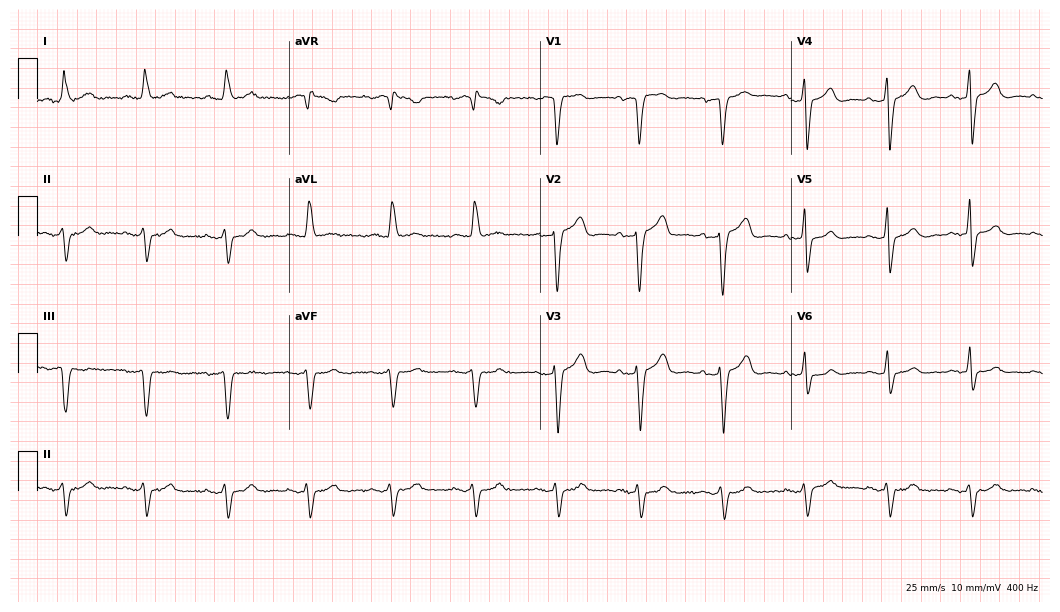
Electrocardiogram, a female, 69 years old. Of the six screened findings (first-degree AV block, right bundle branch block, left bundle branch block, sinus bradycardia, atrial fibrillation, sinus tachycardia), none is recorded.